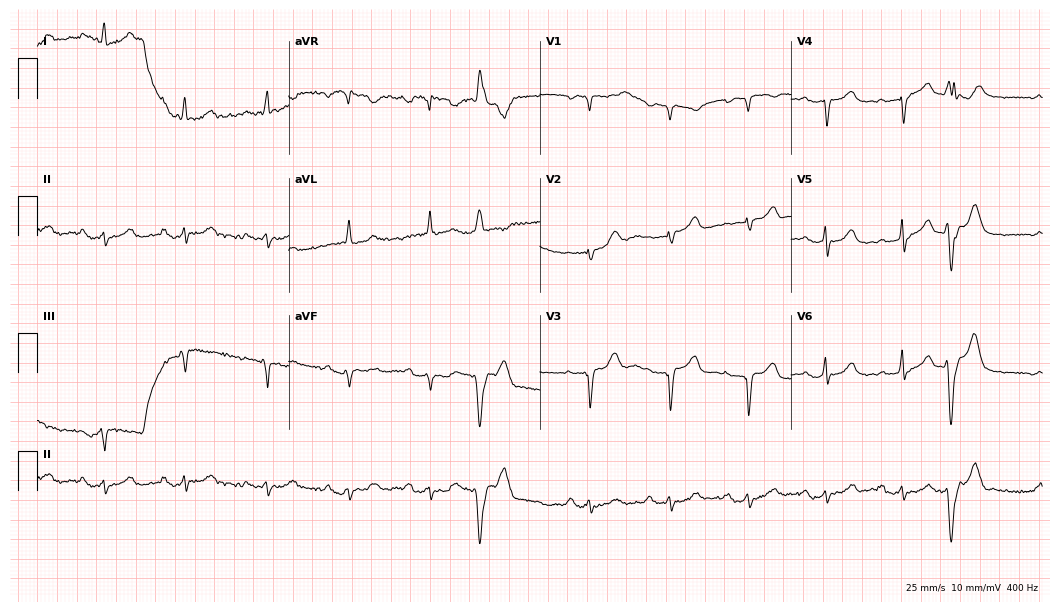
12-lead ECG from a 48-year-old female. No first-degree AV block, right bundle branch block, left bundle branch block, sinus bradycardia, atrial fibrillation or sinus tachycardia recorded for this tracing. Other findings, if any, are not listed.